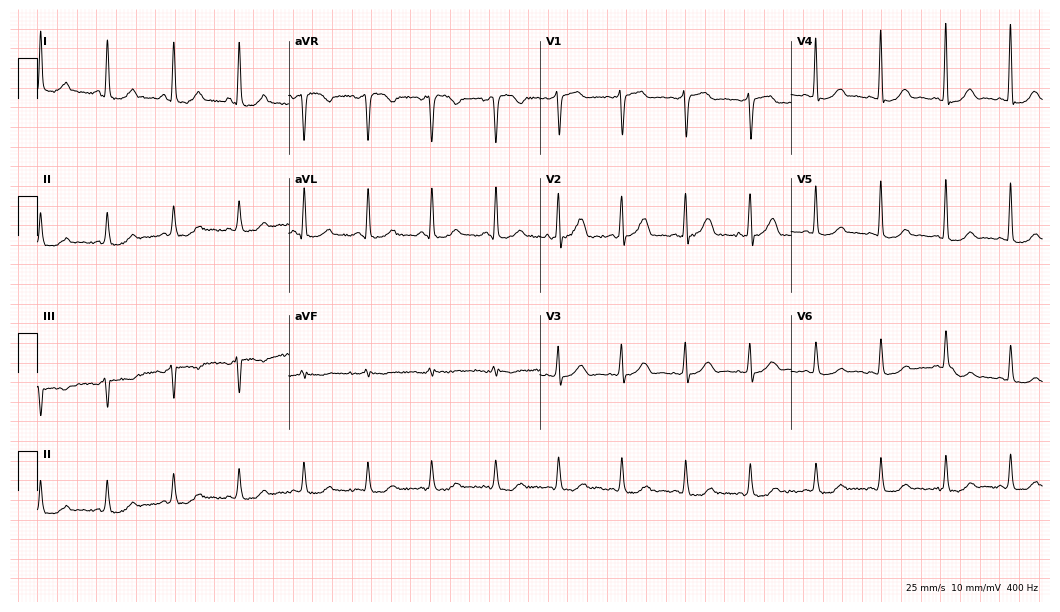
Electrocardiogram (10.2-second recording at 400 Hz), a woman, 69 years old. Overall reading on record: normal ECG.